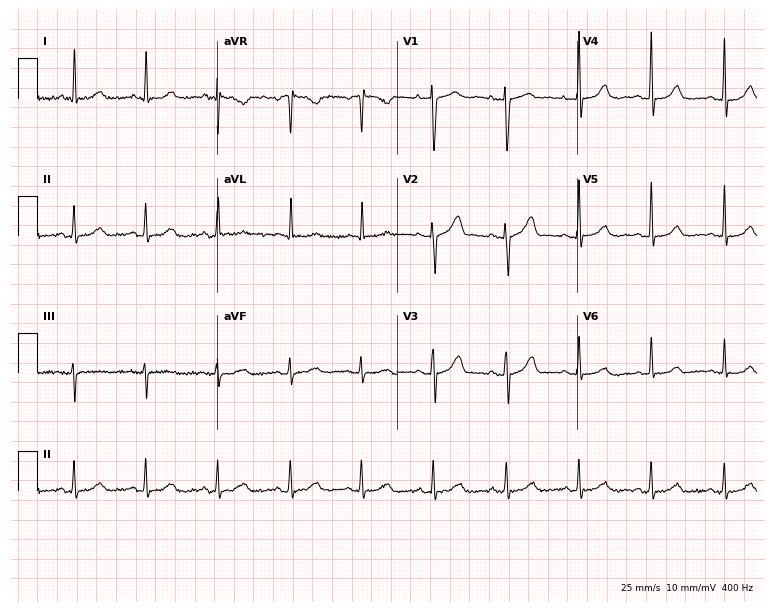
12-lead ECG from a 54-year-old female. Screened for six findings — first-degree AV block, right bundle branch block, left bundle branch block, sinus bradycardia, atrial fibrillation, sinus tachycardia — none is recorded.